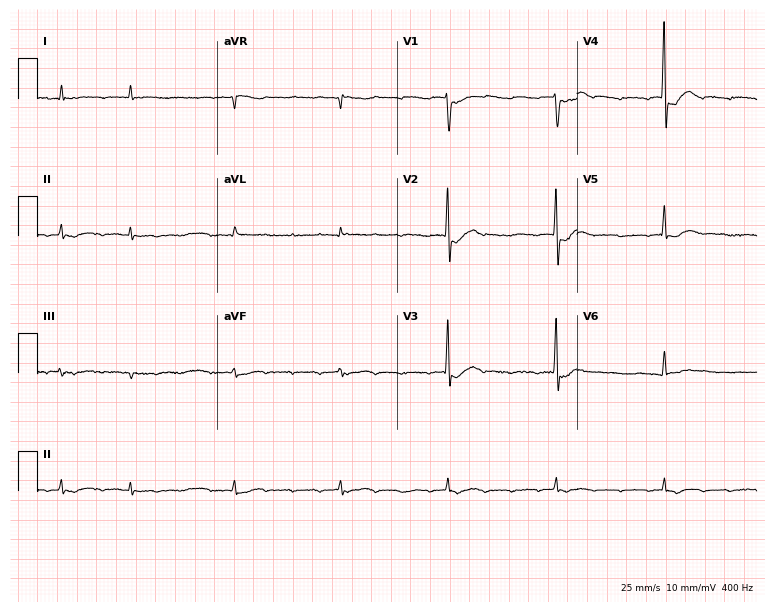
12-lead ECG from a female, 84 years old (7.3-second recording at 400 Hz). No first-degree AV block, right bundle branch block (RBBB), left bundle branch block (LBBB), sinus bradycardia, atrial fibrillation (AF) or sinus tachycardia recorded for this tracing.